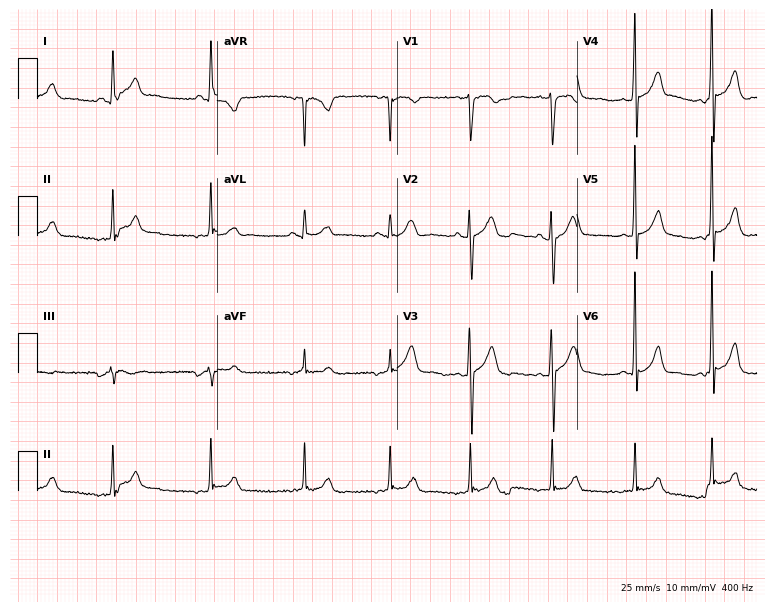
ECG (7.3-second recording at 400 Hz) — a 22-year-old male. Screened for six findings — first-degree AV block, right bundle branch block, left bundle branch block, sinus bradycardia, atrial fibrillation, sinus tachycardia — none is recorded.